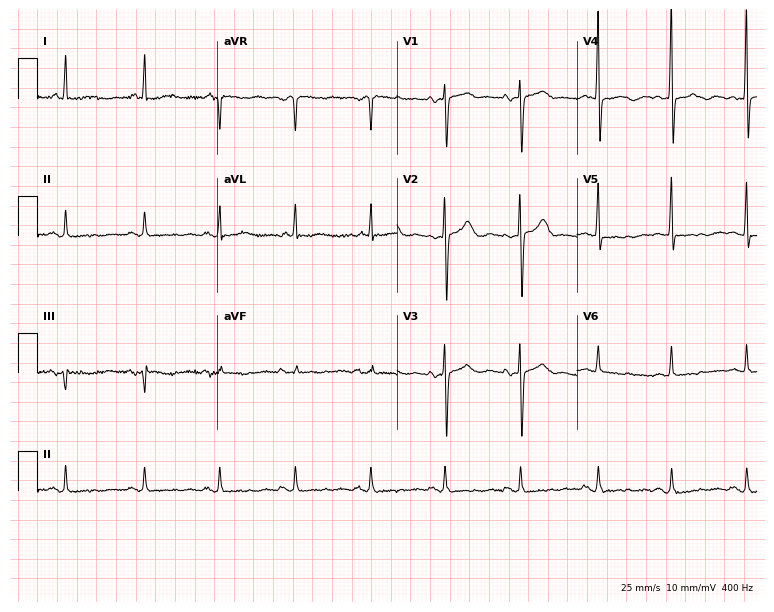
ECG — an 83-year-old female. Screened for six findings — first-degree AV block, right bundle branch block, left bundle branch block, sinus bradycardia, atrial fibrillation, sinus tachycardia — none is recorded.